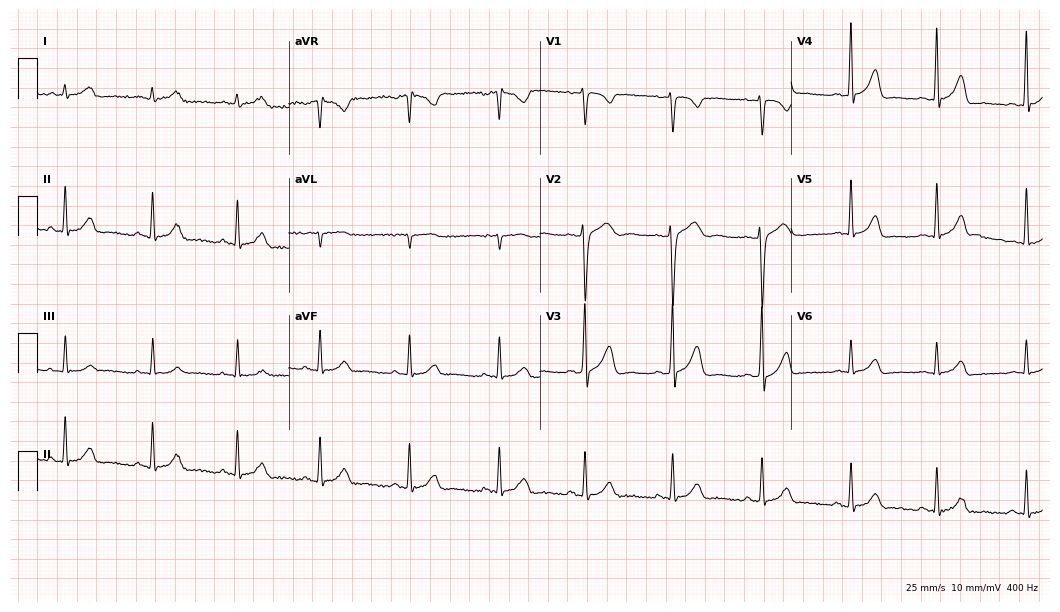
Resting 12-lead electrocardiogram (10.2-second recording at 400 Hz). Patient: a man, 25 years old. Read as a normal ECG.